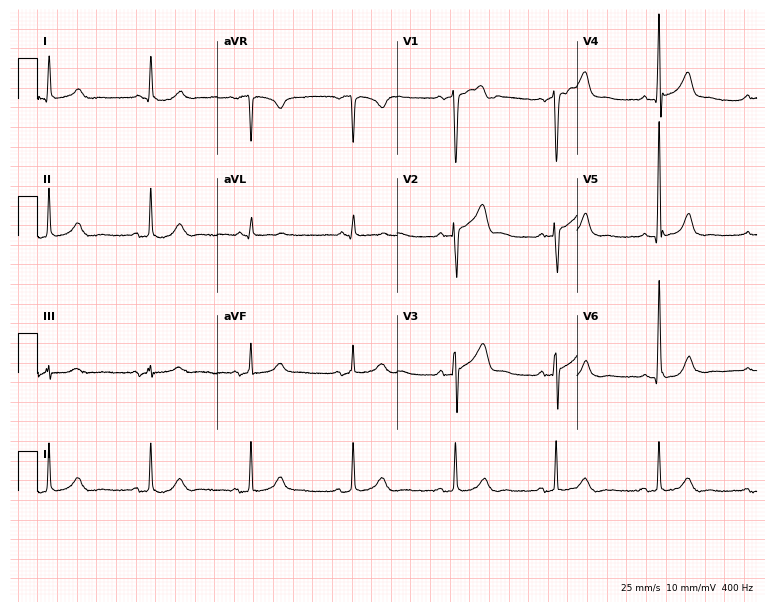
12-lead ECG from a 69-year-old male patient. No first-degree AV block, right bundle branch block, left bundle branch block, sinus bradycardia, atrial fibrillation or sinus tachycardia recorded for this tracing.